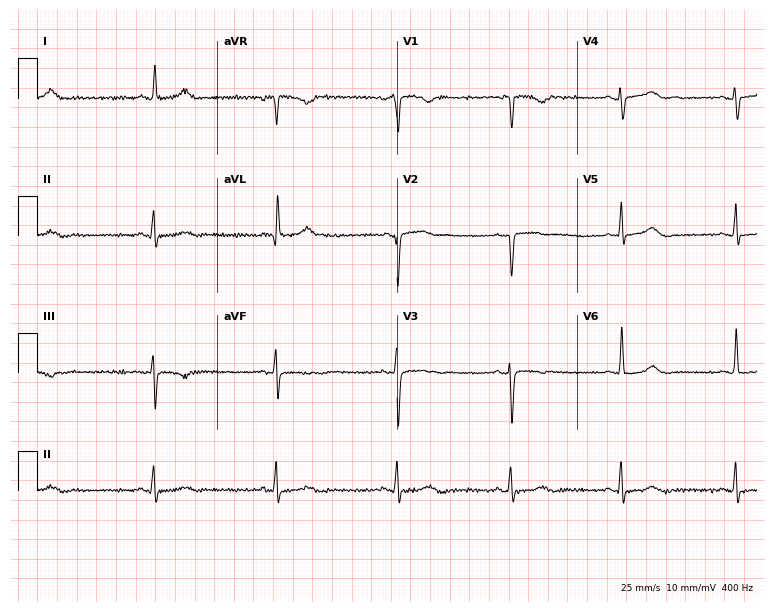
Resting 12-lead electrocardiogram. Patient: a female, 67 years old. Read as a normal ECG.